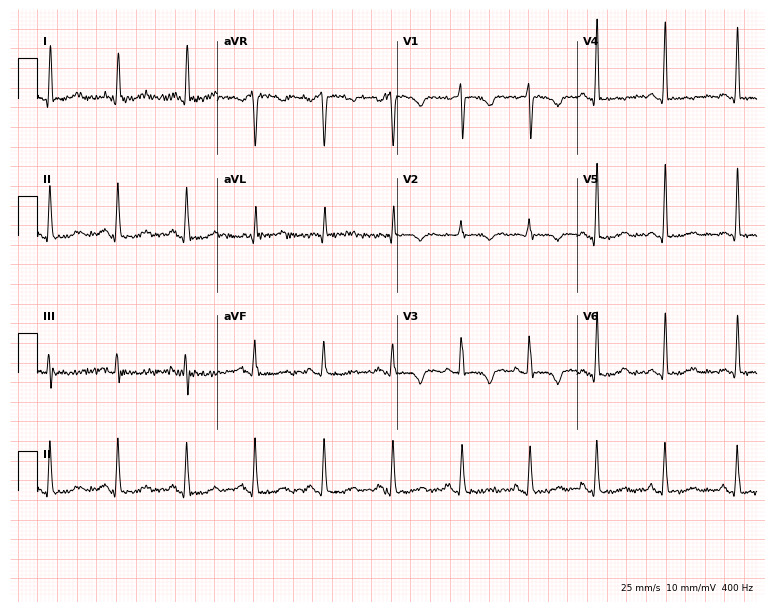
12-lead ECG from a 66-year-old female patient. No first-degree AV block, right bundle branch block (RBBB), left bundle branch block (LBBB), sinus bradycardia, atrial fibrillation (AF) or sinus tachycardia recorded for this tracing.